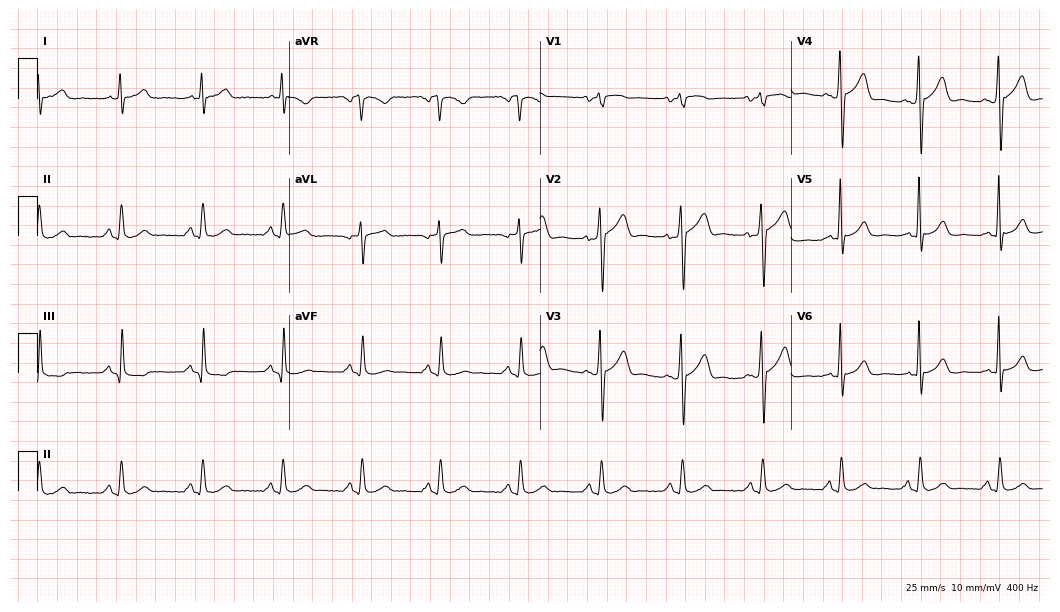
12-lead ECG from a 57-year-old male. No first-degree AV block, right bundle branch block, left bundle branch block, sinus bradycardia, atrial fibrillation or sinus tachycardia recorded for this tracing. Other findings, if any, are not listed.